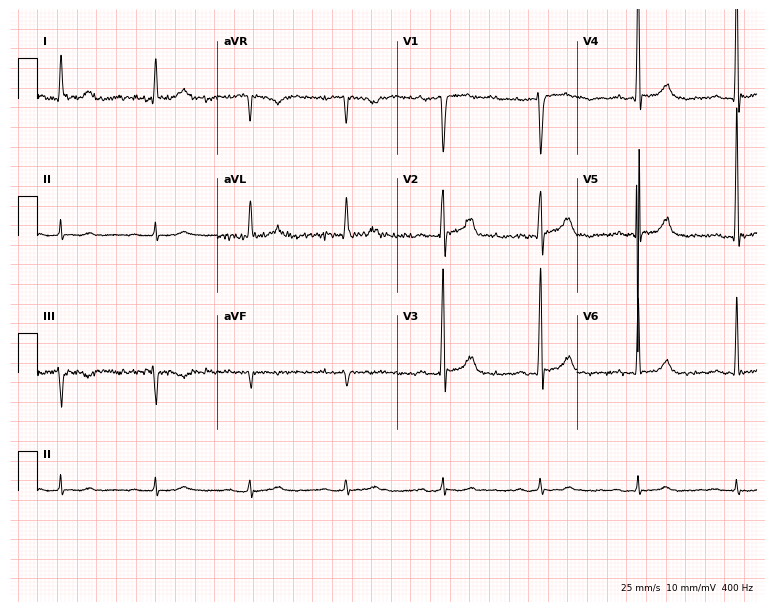
12-lead ECG from an 80-year-old male patient (7.3-second recording at 400 Hz). No first-degree AV block, right bundle branch block (RBBB), left bundle branch block (LBBB), sinus bradycardia, atrial fibrillation (AF) or sinus tachycardia recorded for this tracing.